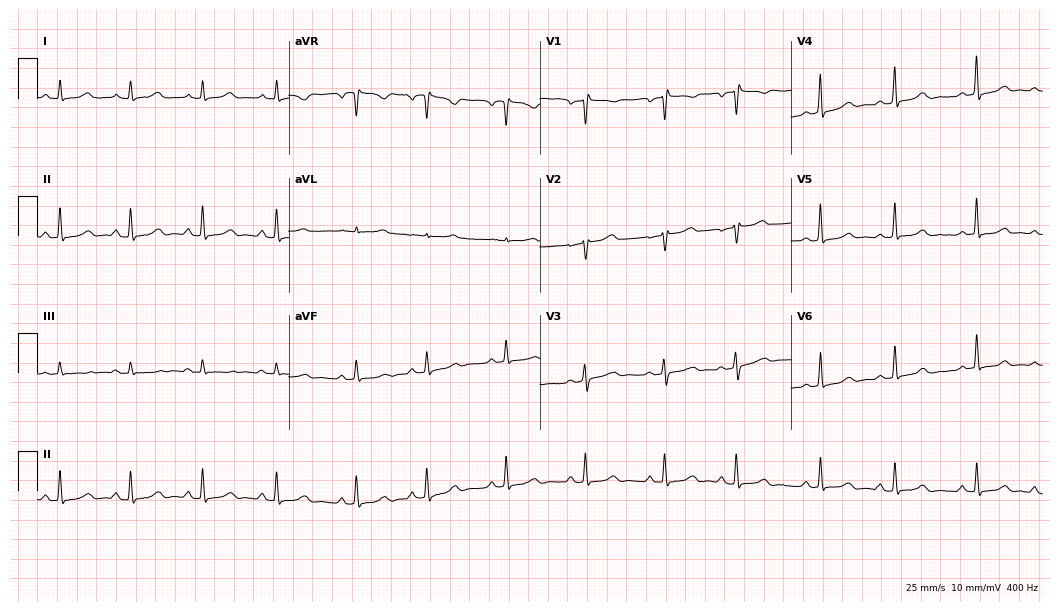
Electrocardiogram, a 36-year-old female. Overall reading on record: normal ECG.